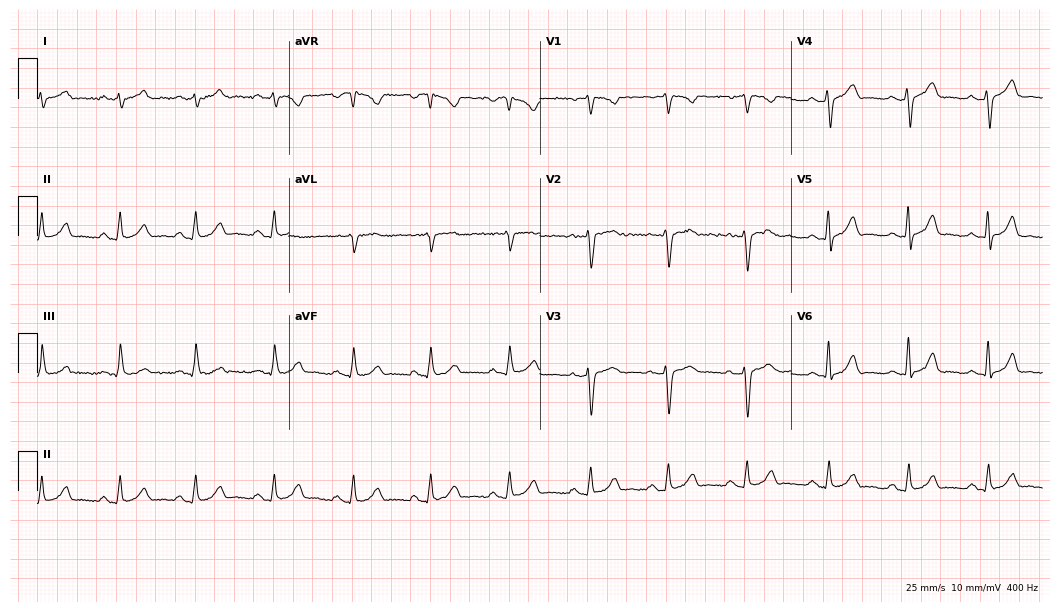
Electrocardiogram (10.2-second recording at 400 Hz), a 36-year-old female patient. Of the six screened findings (first-degree AV block, right bundle branch block (RBBB), left bundle branch block (LBBB), sinus bradycardia, atrial fibrillation (AF), sinus tachycardia), none is recorded.